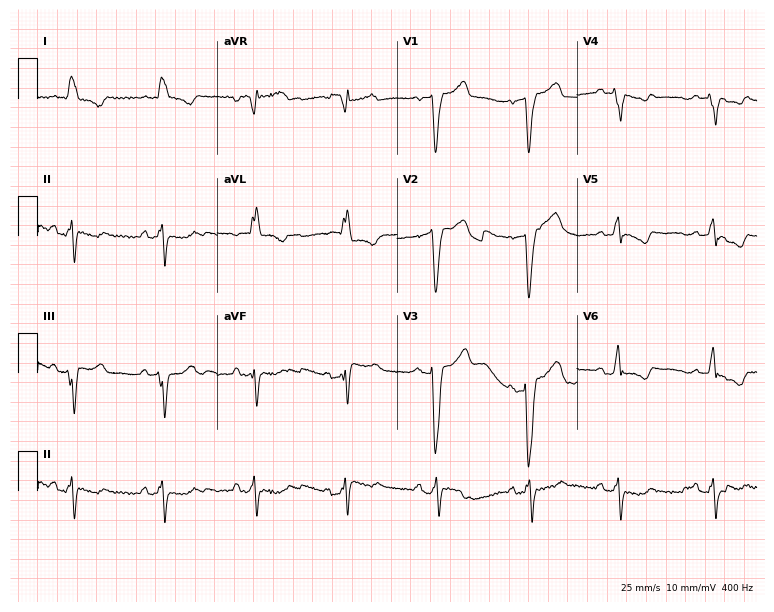
12-lead ECG from a female, 83 years old (7.3-second recording at 400 Hz). Shows left bundle branch block.